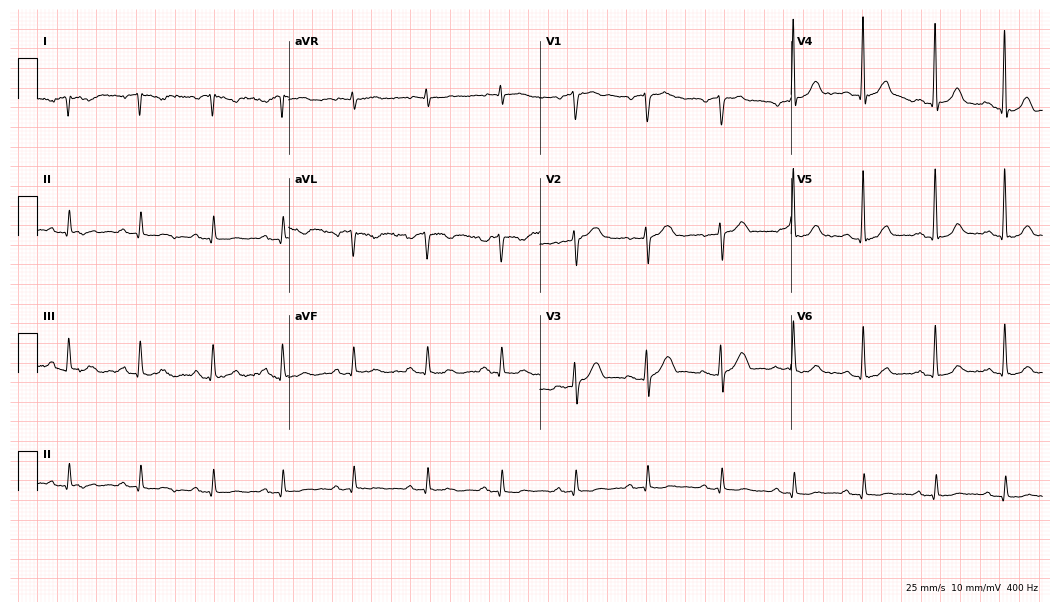
12-lead ECG from a male patient, 76 years old. Screened for six findings — first-degree AV block, right bundle branch block, left bundle branch block, sinus bradycardia, atrial fibrillation, sinus tachycardia — none is recorded.